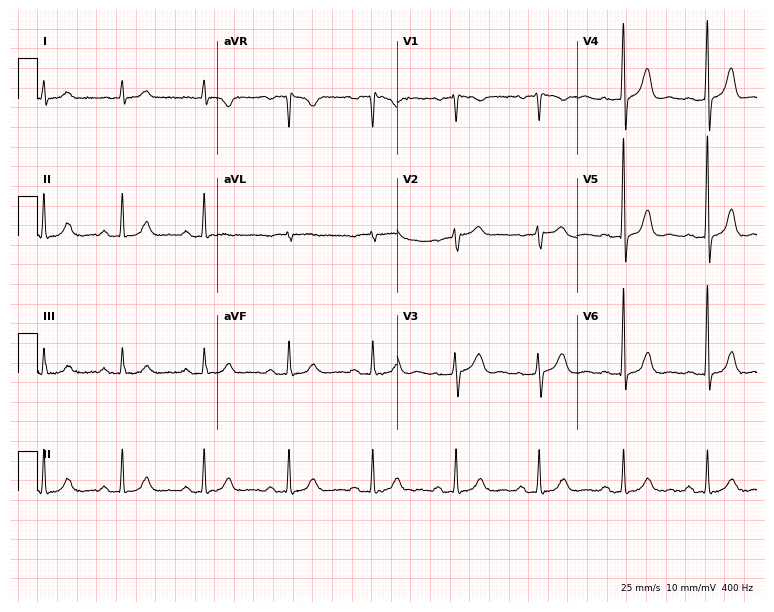
12-lead ECG (7.3-second recording at 400 Hz) from a 60-year-old man. Screened for six findings — first-degree AV block, right bundle branch block, left bundle branch block, sinus bradycardia, atrial fibrillation, sinus tachycardia — none is recorded. Only these six findings were labelled.